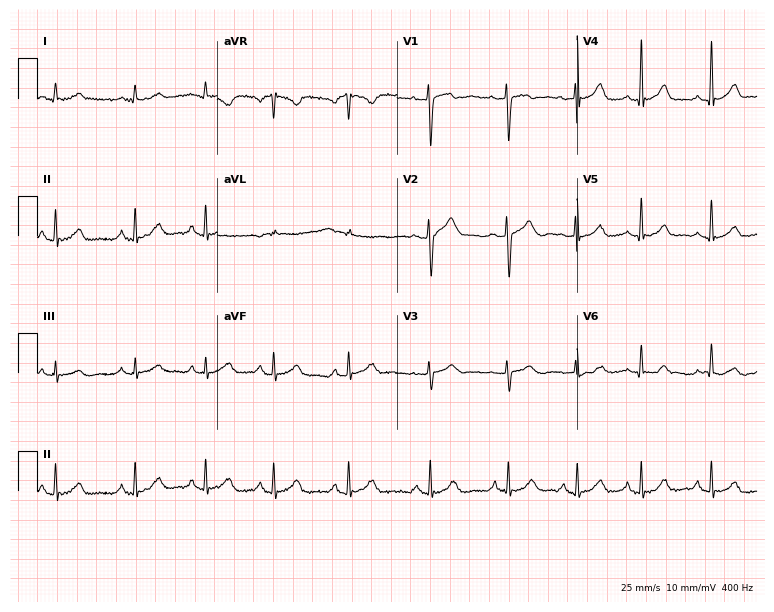
12-lead ECG (7.3-second recording at 400 Hz) from a female patient, 30 years old. Screened for six findings — first-degree AV block, right bundle branch block (RBBB), left bundle branch block (LBBB), sinus bradycardia, atrial fibrillation (AF), sinus tachycardia — none is recorded.